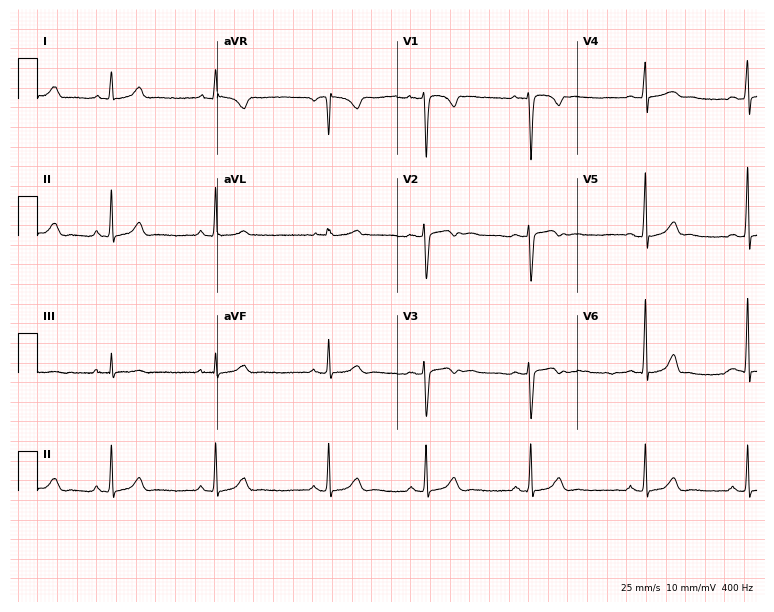
ECG (7.3-second recording at 400 Hz) — a female, 17 years old. Screened for six findings — first-degree AV block, right bundle branch block, left bundle branch block, sinus bradycardia, atrial fibrillation, sinus tachycardia — none is recorded.